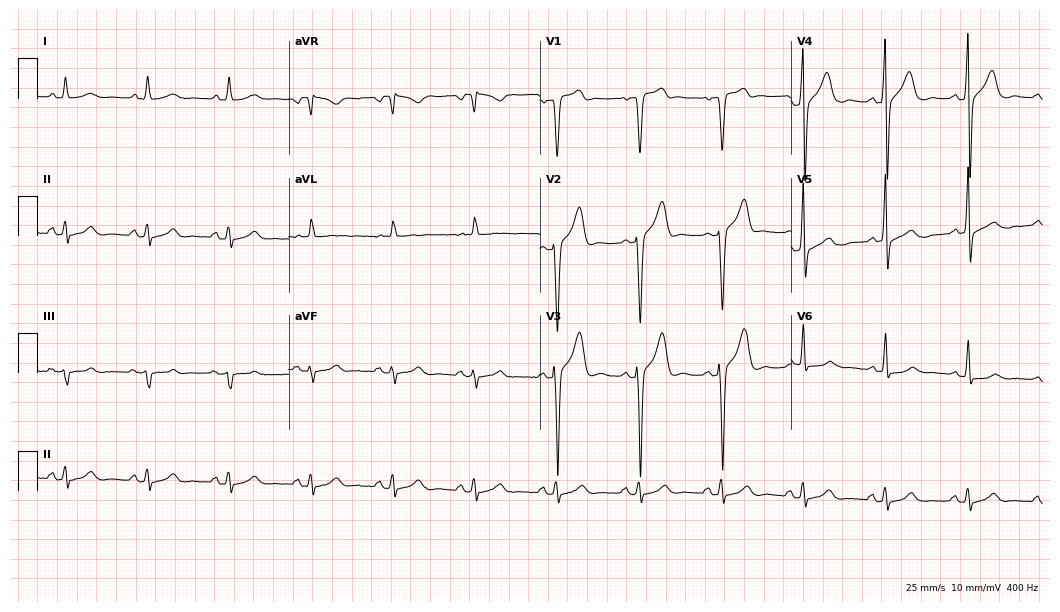
Electrocardiogram, a 68-year-old man. Overall reading on record: normal ECG.